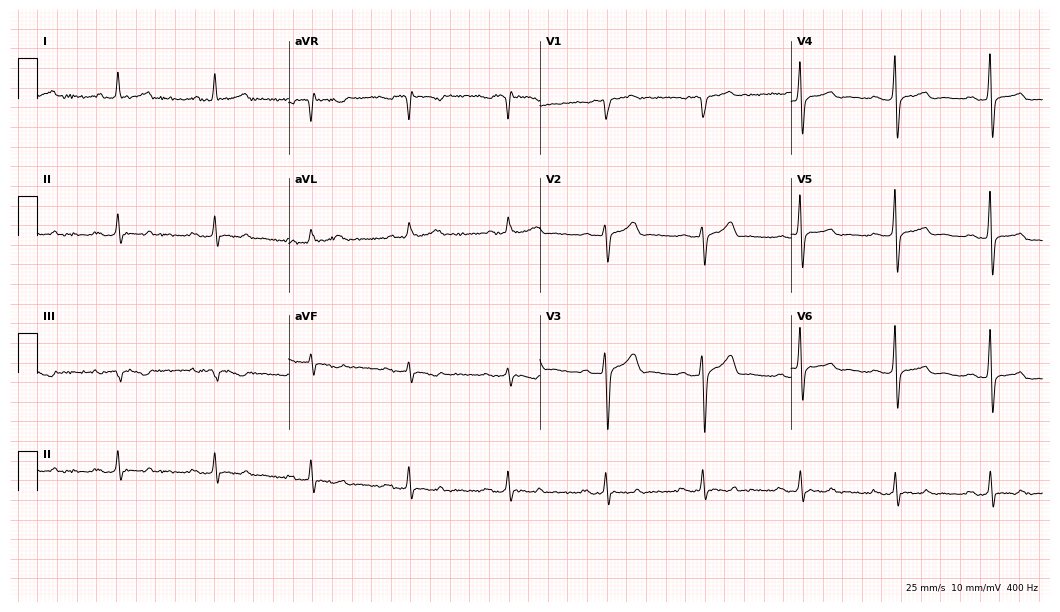
ECG (10.2-second recording at 400 Hz) — a 46-year-old male patient. Findings include first-degree AV block.